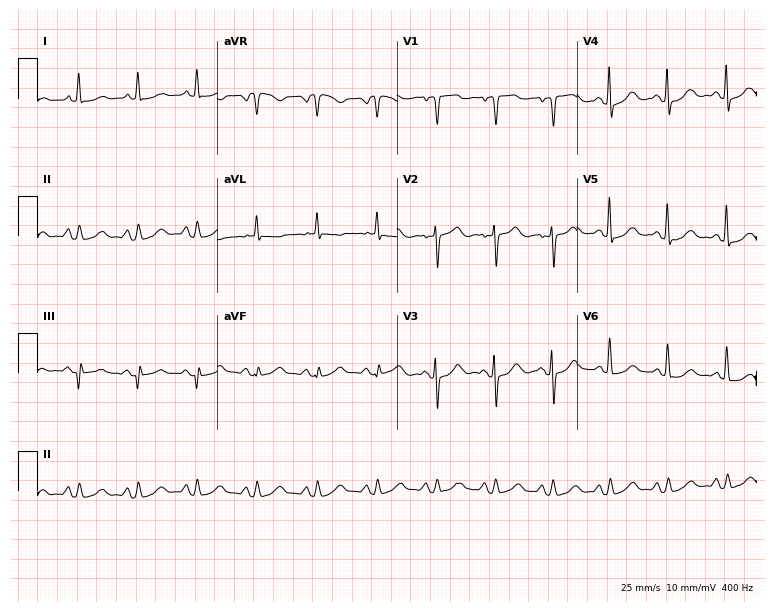
Resting 12-lead electrocardiogram. Patient: a woman, 82 years old. The tracing shows sinus tachycardia (a sinus rate of 100 beats per minute or more).